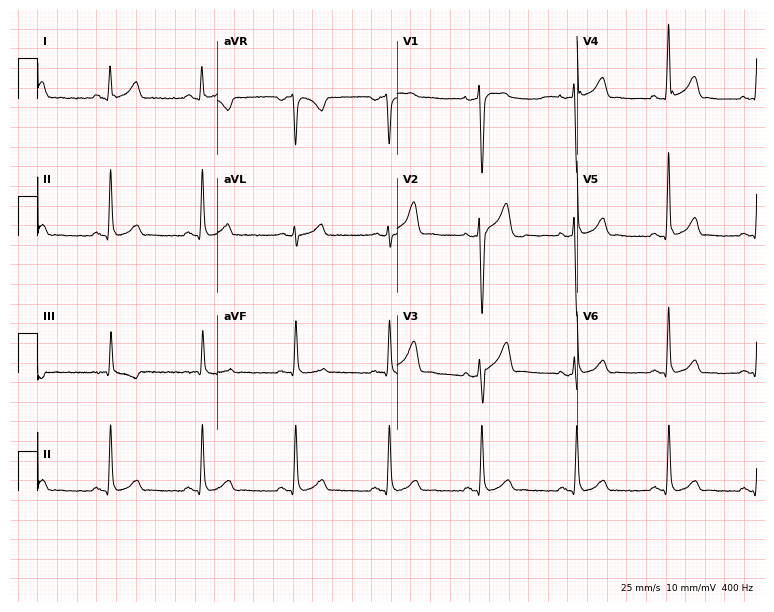
12-lead ECG (7.3-second recording at 400 Hz) from a 39-year-old male. Labelled as a normal ECG.